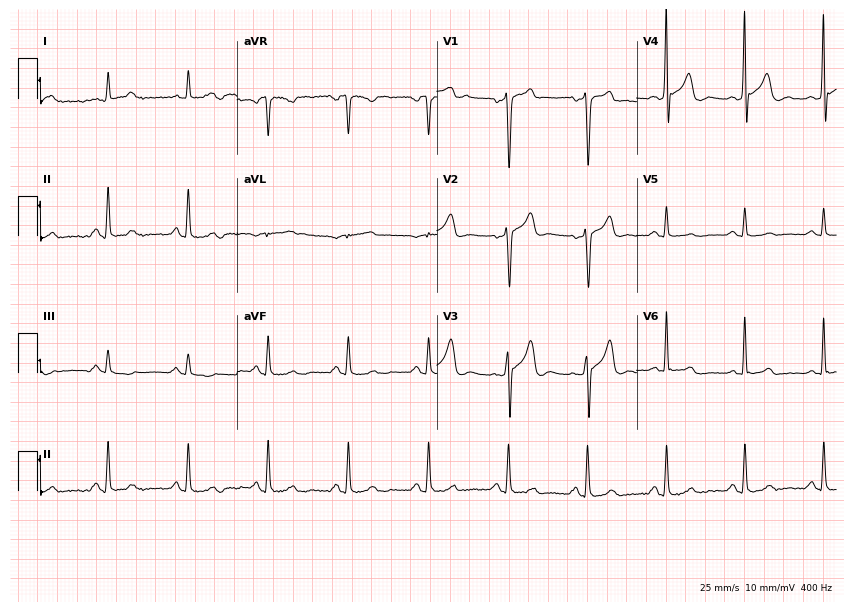
12-lead ECG from a male, 81 years old. Labelled as a normal ECG.